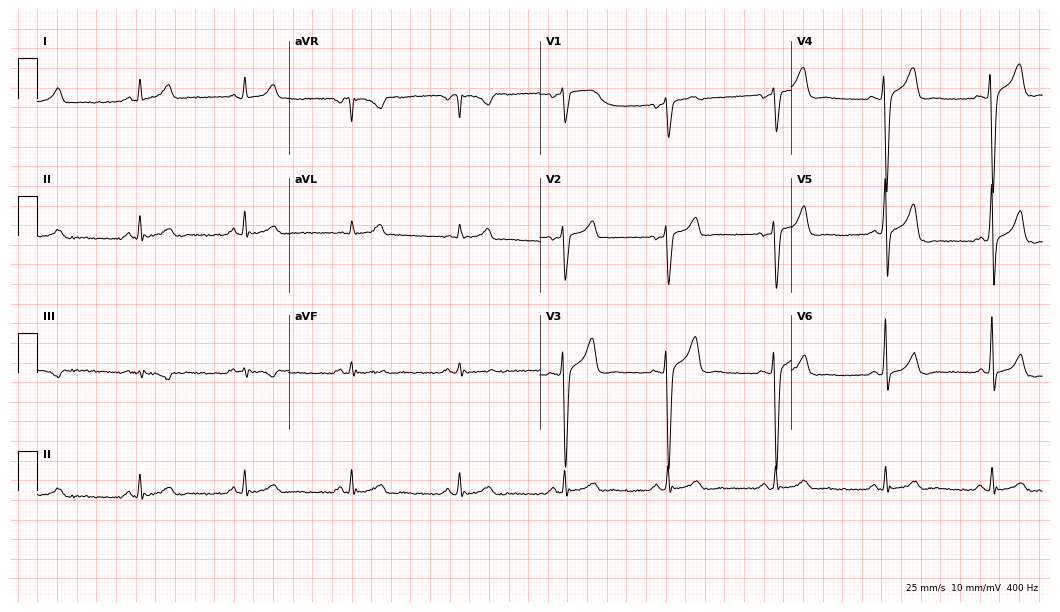
12-lead ECG from a man, 38 years old. Labelled as a normal ECG.